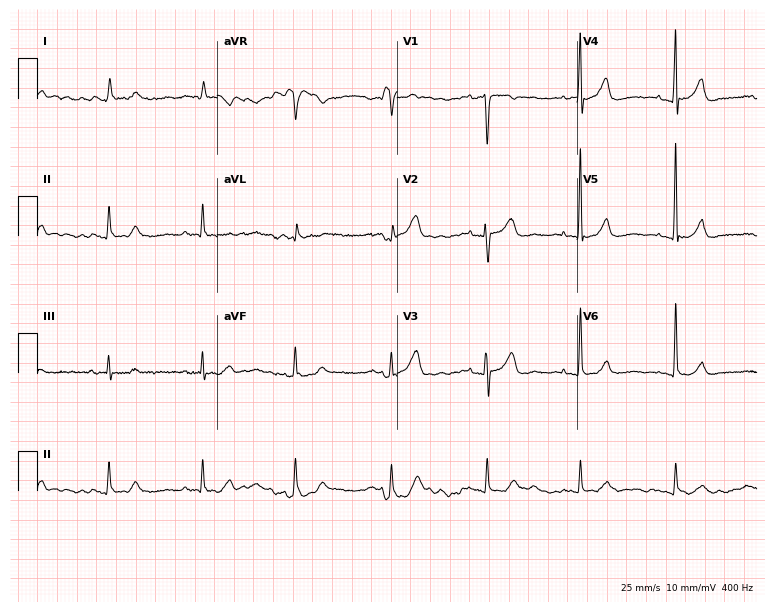
12-lead ECG (7.3-second recording at 400 Hz) from a male, 74 years old. Findings include atrial fibrillation.